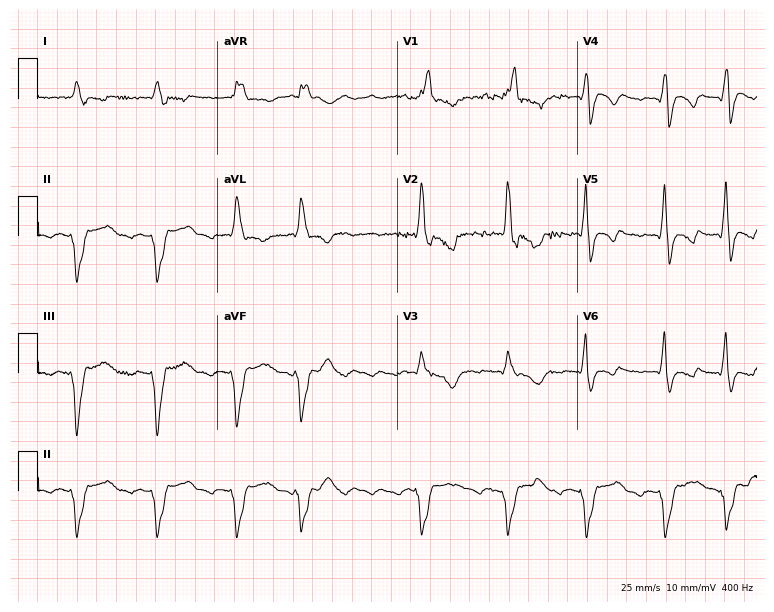
Resting 12-lead electrocardiogram. Patient: a 50-year-old male. None of these six findings is recorded: first-degree AV block, right bundle branch block (RBBB), left bundle branch block (LBBB), sinus bradycardia, atrial fibrillation (AF), sinus tachycardia. Findings outside these six are not listed.